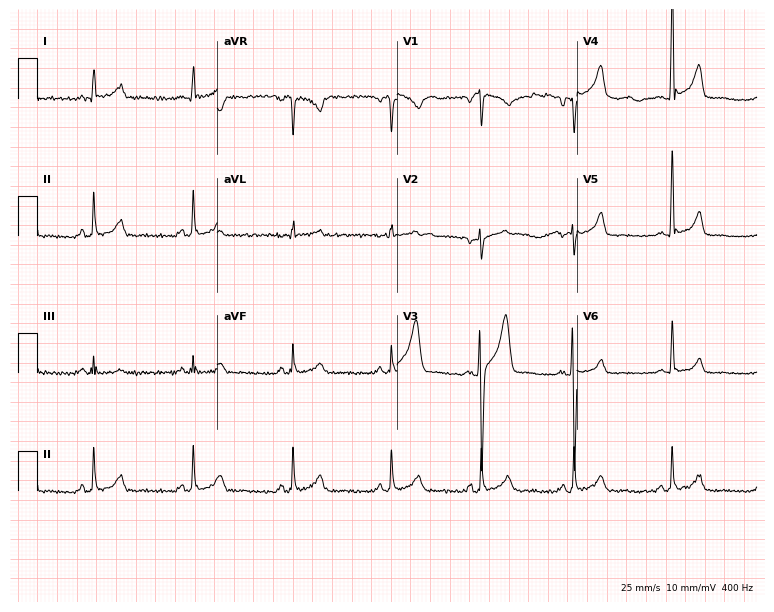
Standard 12-lead ECG recorded from a male patient, 29 years old (7.3-second recording at 400 Hz). None of these six findings is recorded: first-degree AV block, right bundle branch block (RBBB), left bundle branch block (LBBB), sinus bradycardia, atrial fibrillation (AF), sinus tachycardia. Other findings, if any, are not listed.